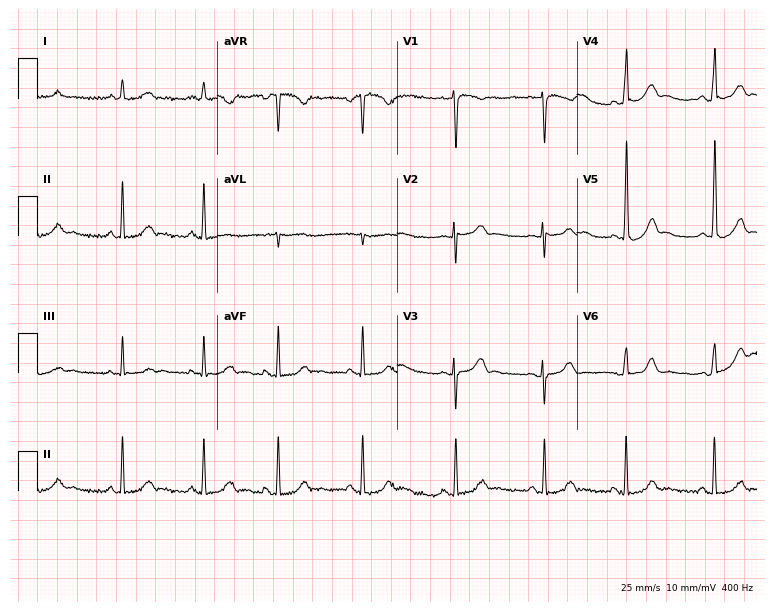
Standard 12-lead ECG recorded from a female, 24 years old (7.3-second recording at 400 Hz). None of these six findings is recorded: first-degree AV block, right bundle branch block, left bundle branch block, sinus bradycardia, atrial fibrillation, sinus tachycardia. Only these six findings were labelled.